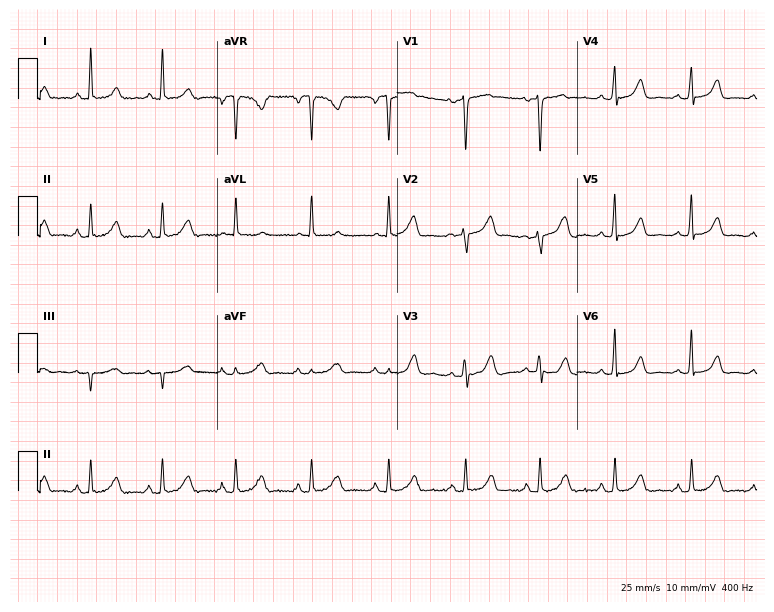
12-lead ECG (7.3-second recording at 400 Hz) from a female patient, 42 years old. Screened for six findings — first-degree AV block, right bundle branch block, left bundle branch block, sinus bradycardia, atrial fibrillation, sinus tachycardia — none is recorded.